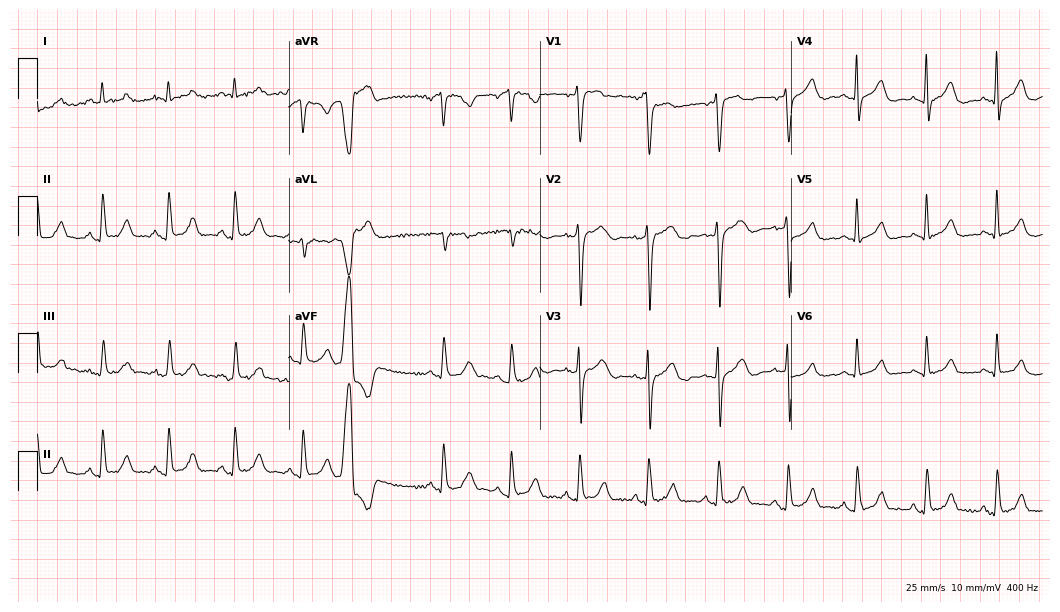
Electrocardiogram (10.2-second recording at 400 Hz), a male, 62 years old. Overall reading on record: normal ECG.